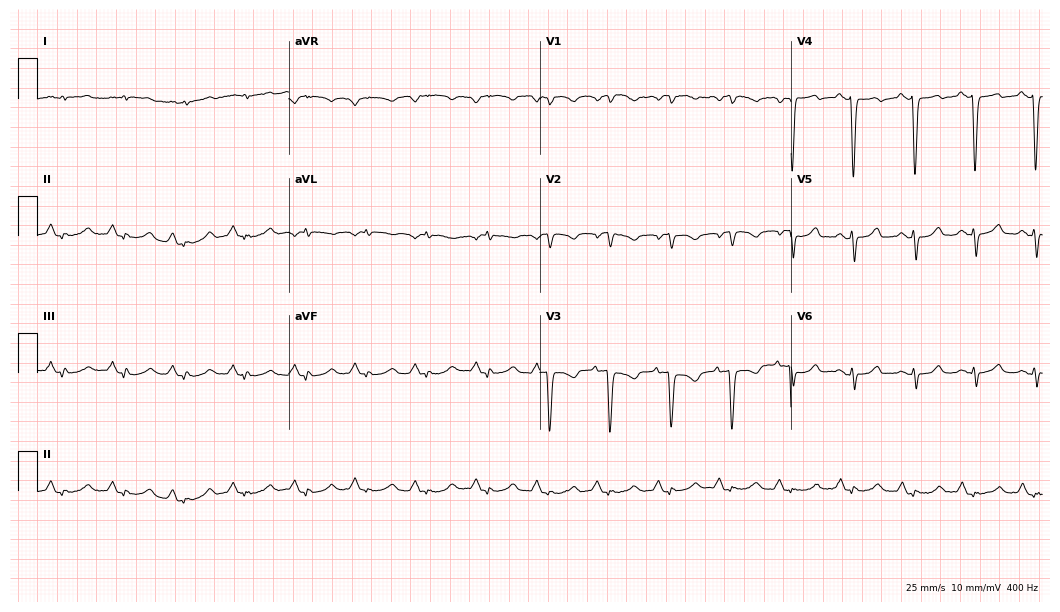
Resting 12-lead electrocardiogram. Patient: a 74-year-old man. None of these six findings is recorded: first-degree AV block, right bundle branch block, left bundle branch block, sinus bradycardia, atrial fibrillation, sinus tachycardia. Findings outside these six are not listed.